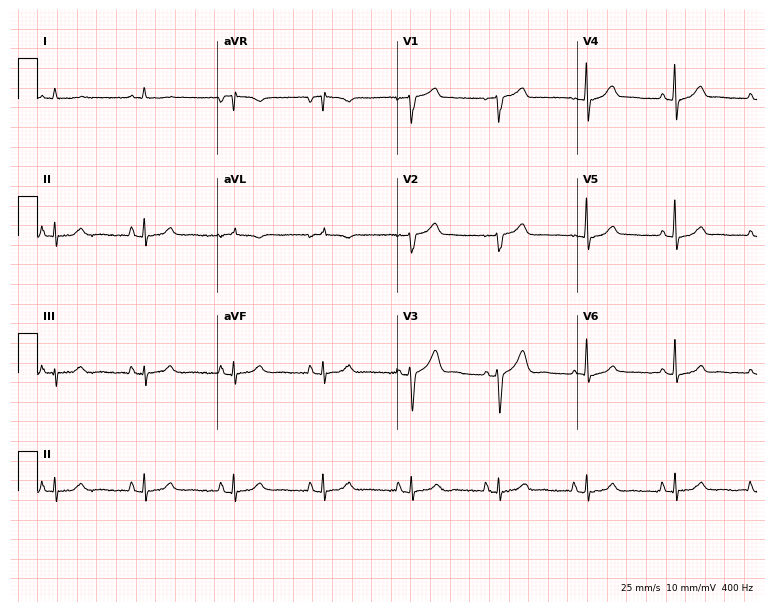
Electrocardiogram (7.3-second recording at 400 Hz), a male patient, 72 years old. Of the six screened findings (first-degree AV block, right bundle branch block, left bundle branch block, sinus bradycardia, atrial fibrillation, sinus tachycardia), none is recorded. Other findings, if any, are not listed.